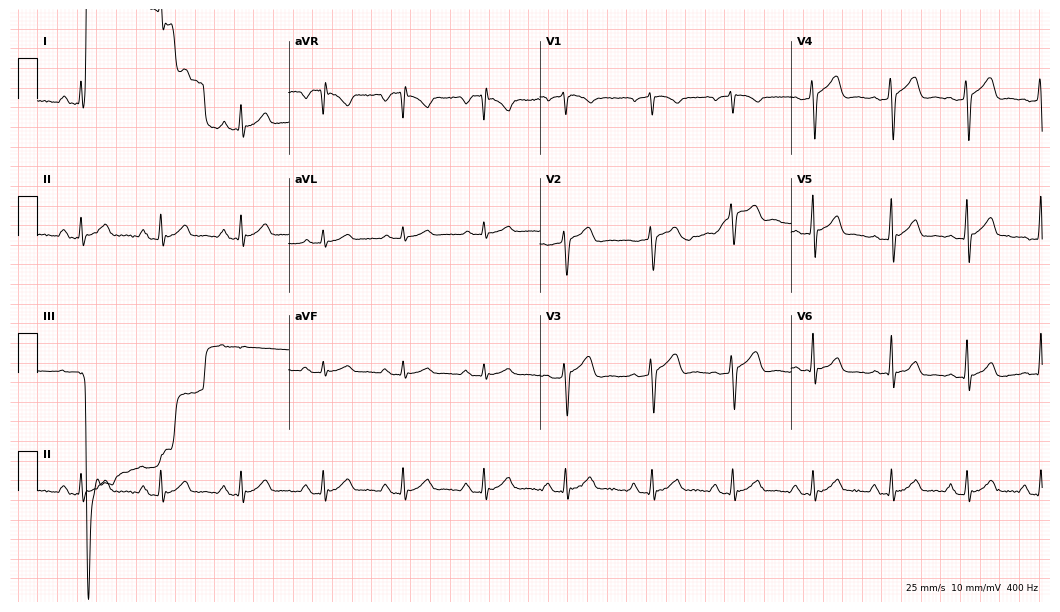
12-lead ECG (10.2-second recording at 400 Hz) from a 57-year-old male. Screened for six findings — first-degree AV block, right bundle branch block, left bundle branch block, sinus bradycardia, atrial fibrillation, sinus tachycardia — none is recorded.